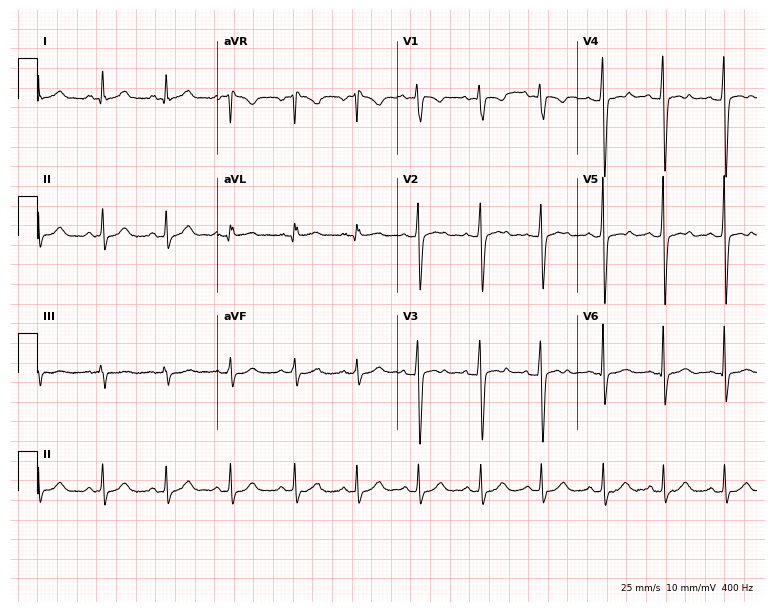
Standard 12-lead ECG recorded from a female, 29 years old. Read as a normal ECG.